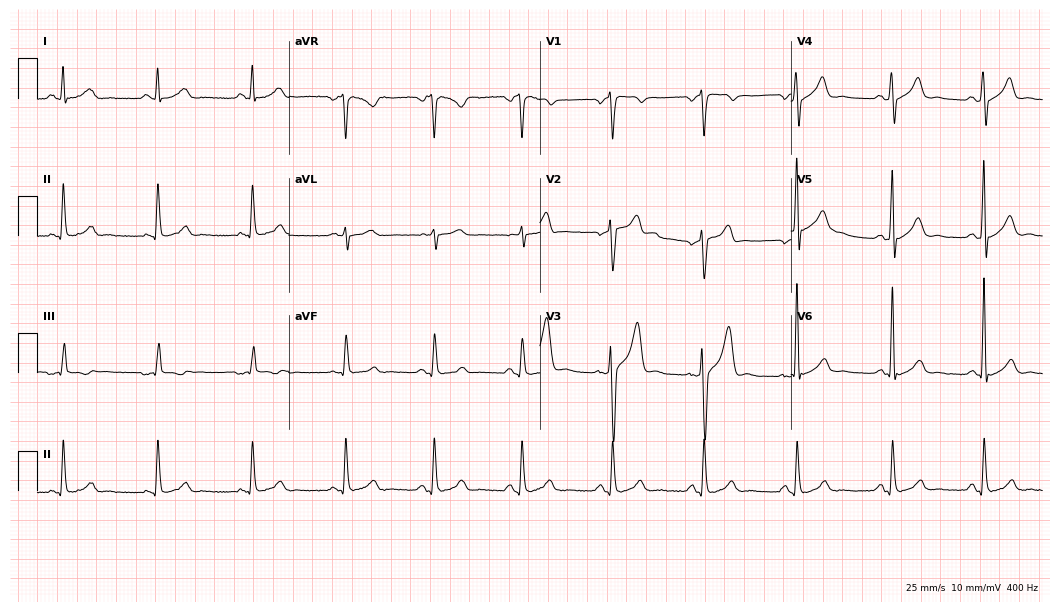
Resting 12-lead electrocardiogram. Patient: a 33-year-old male. Read as a normal ECG.